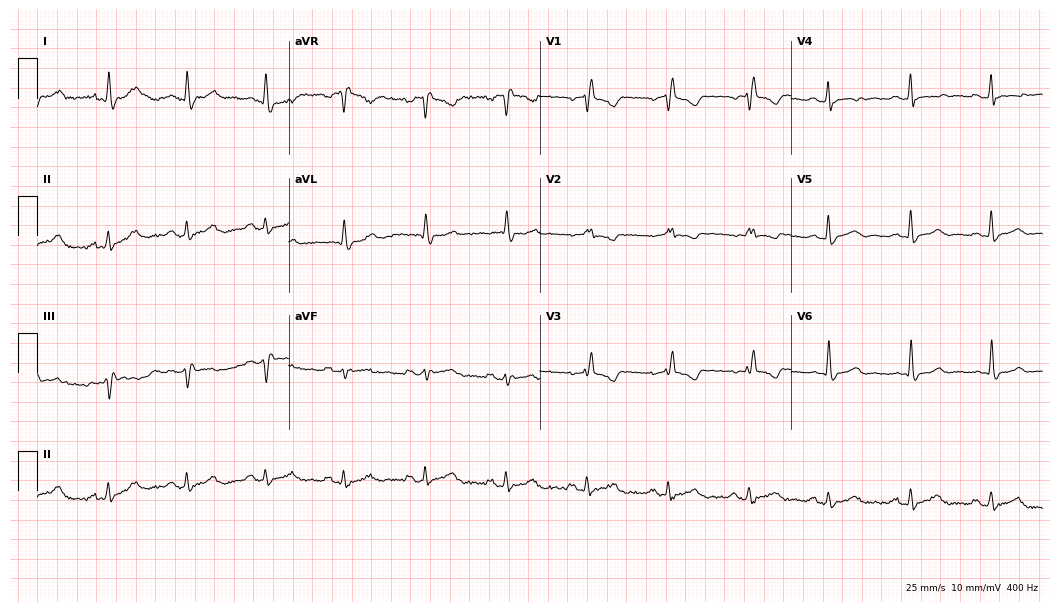
Resting 12-lead electrocardiogram. Patient: a 75-year-old woman. The tracing shows right bundle branch block.